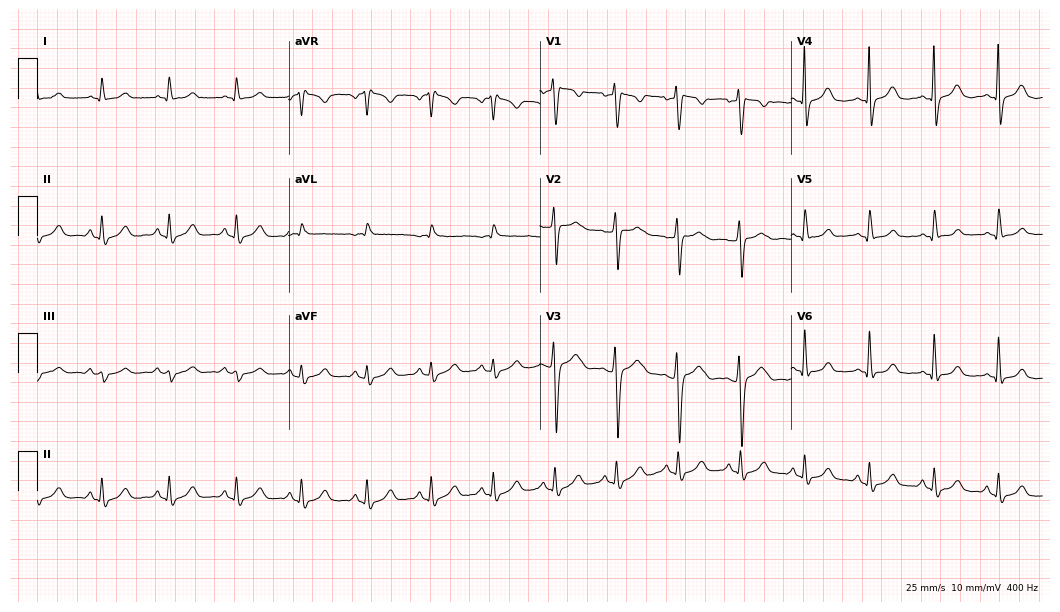
Resting 12-lead electrocardiogram. Patient: a 56-year-old female. None of these six findings is recorded: first-degree AV block, right bundle branch block, left bundle branch block, sinus bradycardia, atrial fibrillation, sinus tachycardia. Only these six findings were labelled.